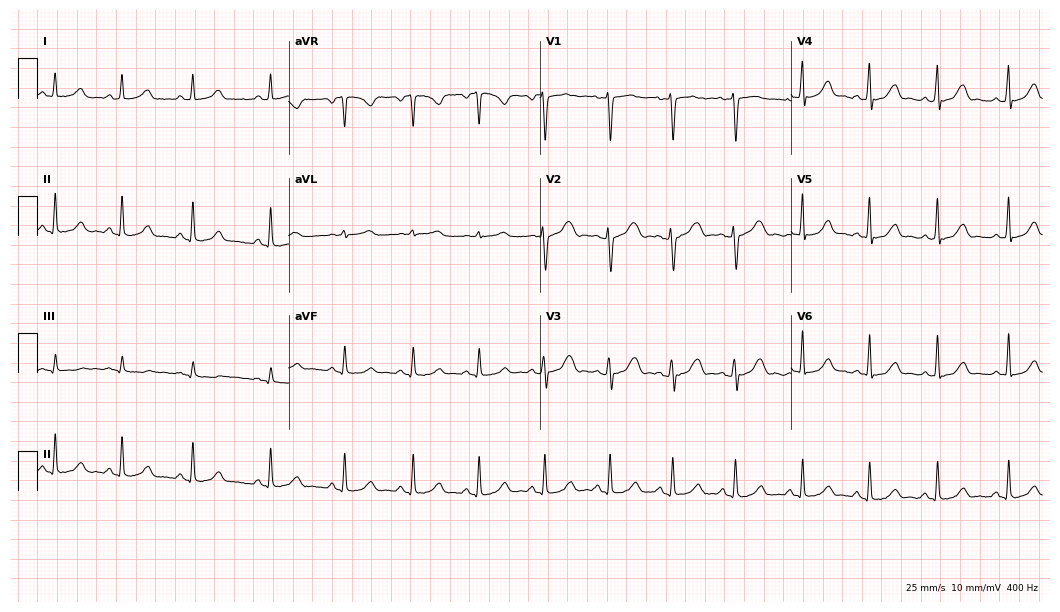
Standard 12-lead ECG recorded from a woman, 34 years old (10.2-second recording at 400 Hz). Read as a normal ECG.